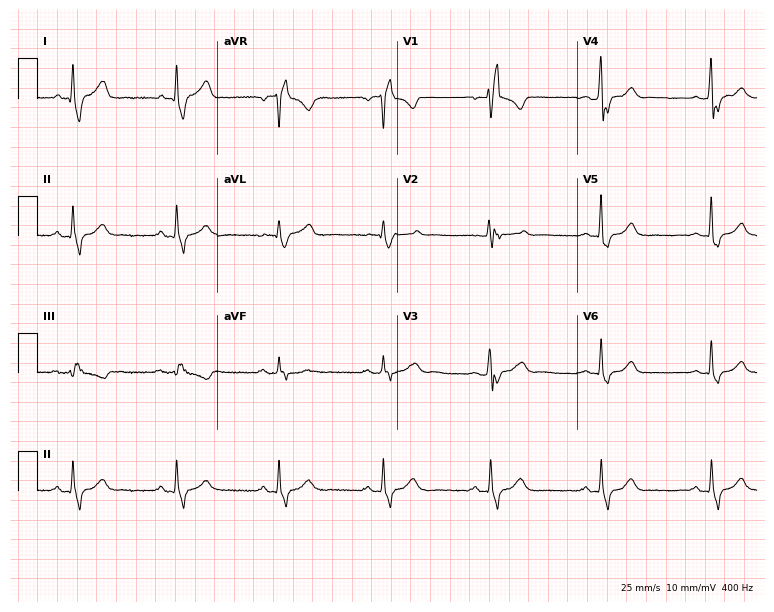
12-lead ECG from a female patient, 58 years old. Shows right bundle branch block (RBBB).